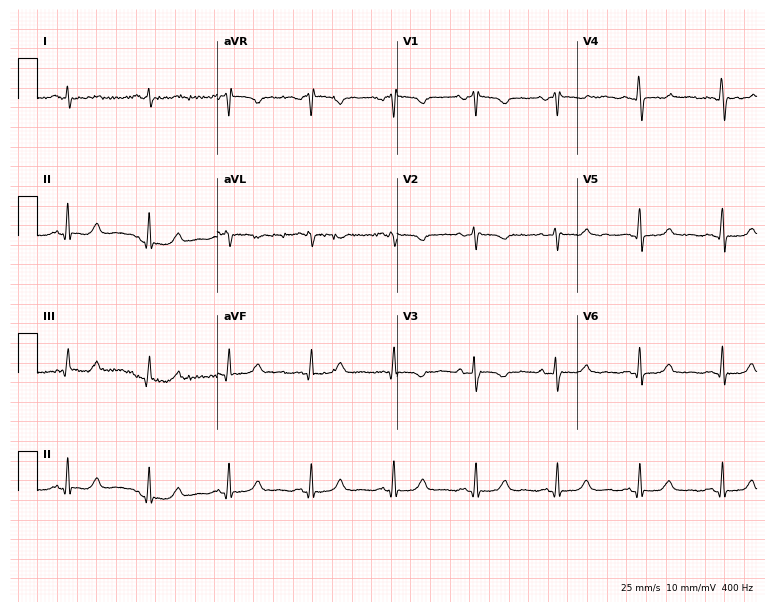
Resting 12-lead electrocardiogram. Patient: a 30-year-old female. None of these six findings is recorded: first-degree AV block, right bundle branch block, left bundle branch block, sinus bradycardia, atrial fibrillation, sinus tachycardia. Other findings, if any, are not listed.